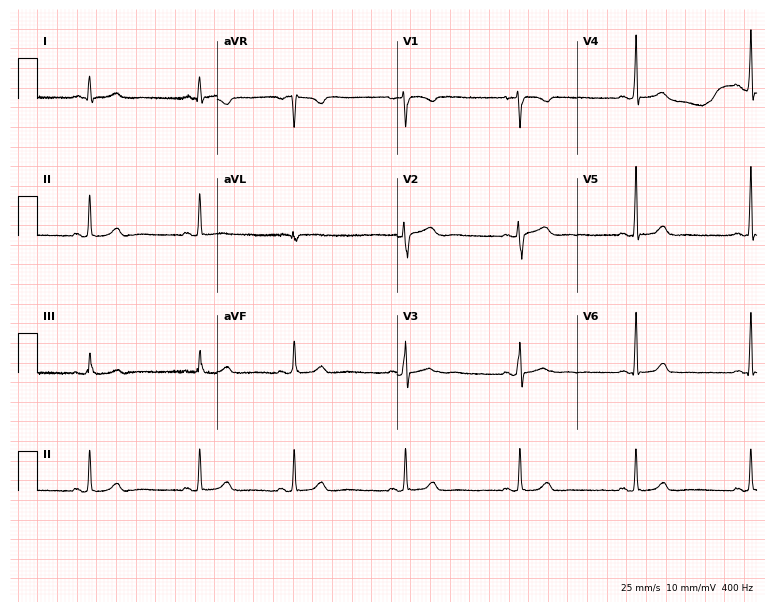
12-lead ECG from a female, 28 years old. No first-degree AV block, right bundle branch block (RBBB), left bundle branch block (LBBB), sinus bradycardia, atrial fibrillation (AF) or sinus tachycardia recorded for this tracing.